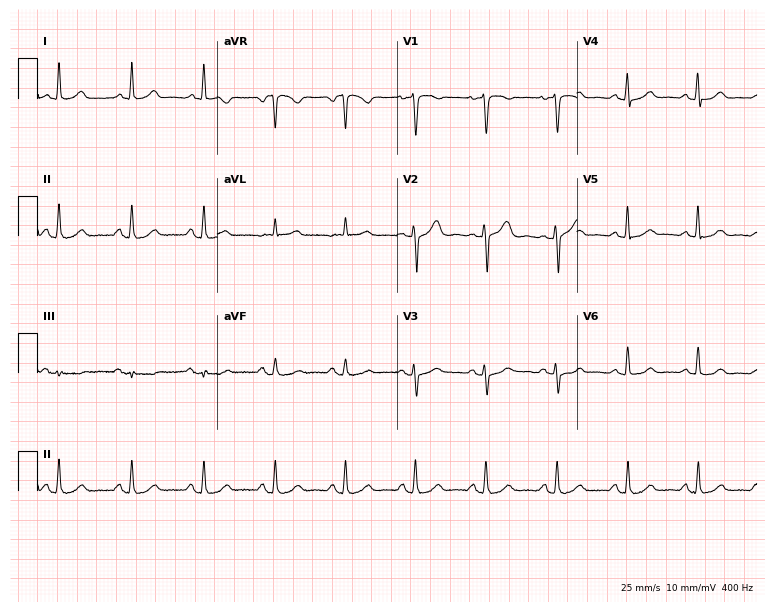
Standard 12-lead ECG recorded from a woman, 51 years old. Read as a normal ECG.